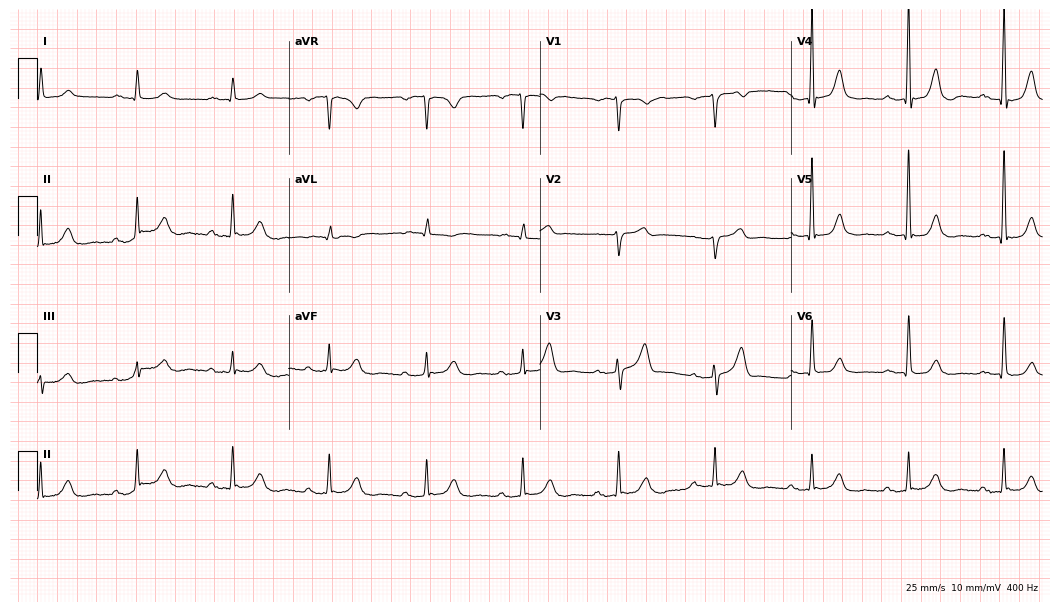
Resting 12-lead electrocardiogram (10.2-second recording at 400 Hz). Patient: a man, 83 years old. Read as a normal ECG.